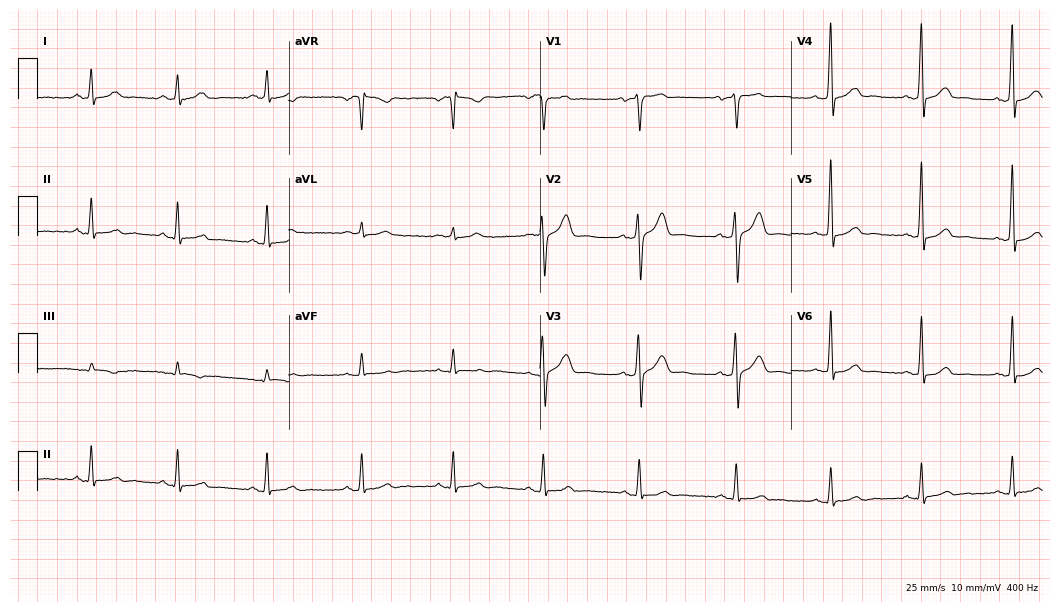
12-lead ECG (10.2-second recording at 400 Hz) from a 76-year-old female patient. Labelled as a normal ECG.